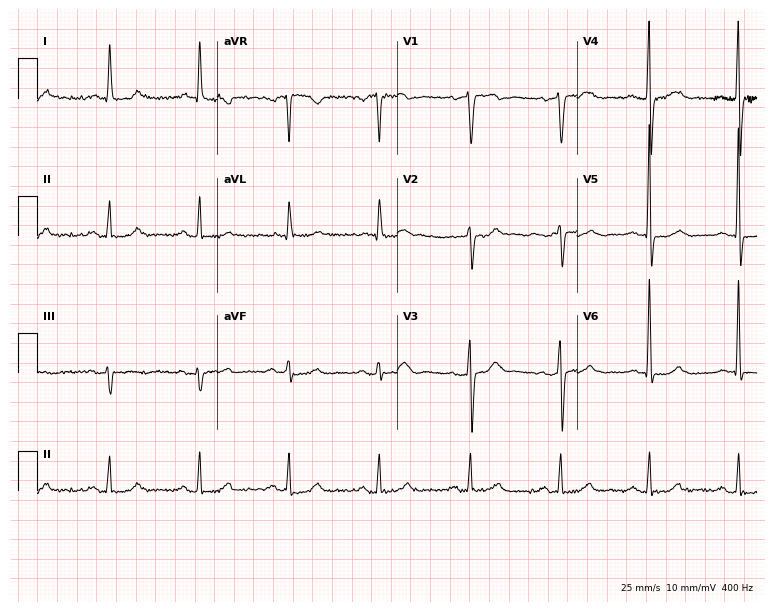
Resting 12-lead electrocardiogram (7.3-second recording at 400 Hz). Patient: a 64-year-old male. Read as a normal ECG.